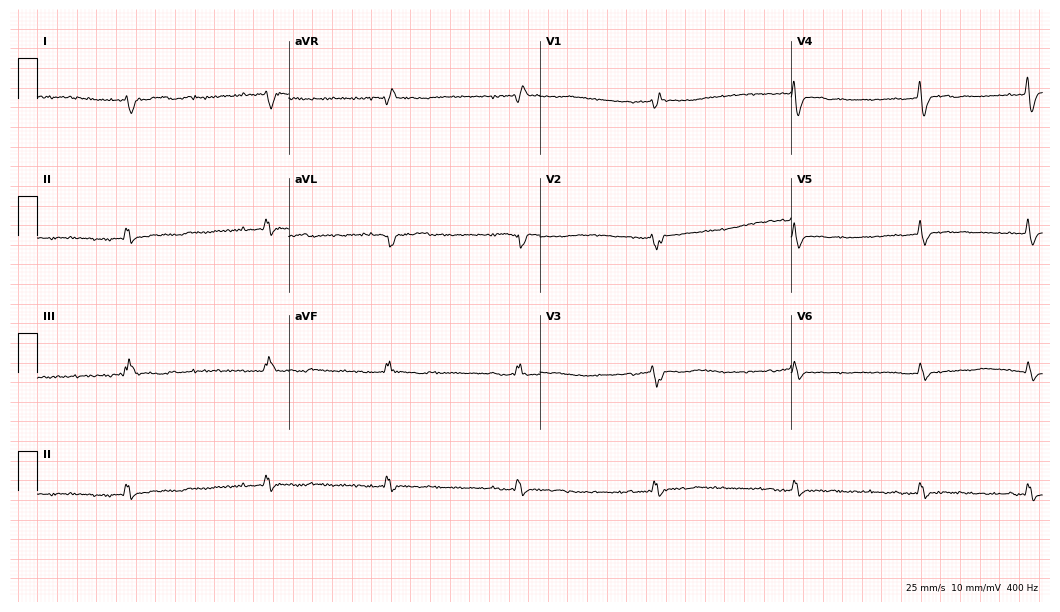
12-lead ECG from a 66-year-old woman. Screened for six findings — first-degree AV block, right bundle branch block, left bundle branch block, sinus bradycardia, atrial fibrillation, sinus tachycardia — none is recorded. Other findings, if any, are not listed.